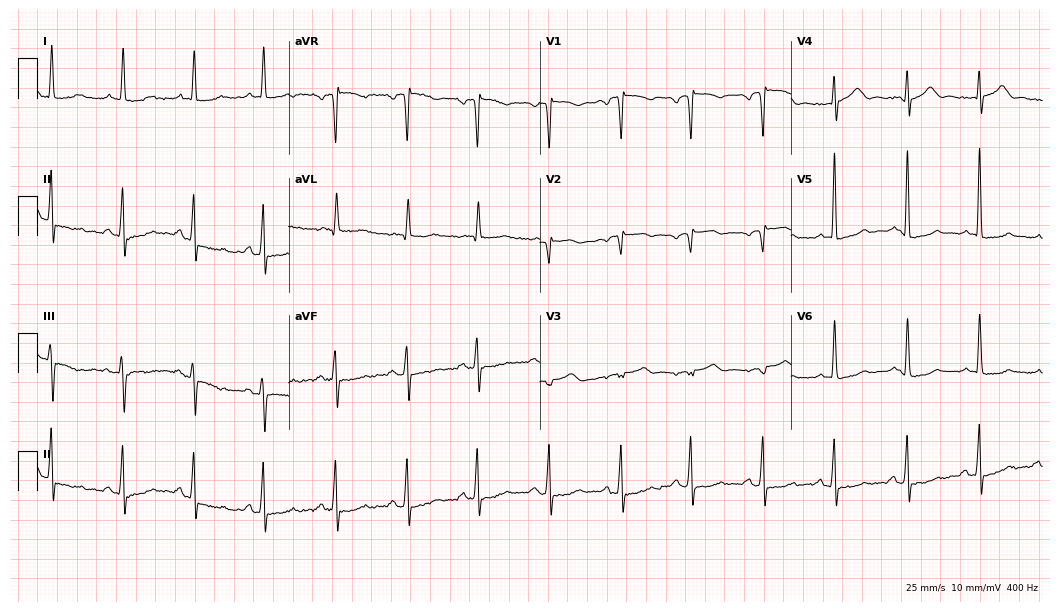
ECG — a 77-year-old female. Screened for six findings — first-degree AV block, right bundle branch block (RBBB), left bundle branch block (LBBB), sinus bradycardia, atrial fibrillation (AF), sinus tachycardia — none is recorded.